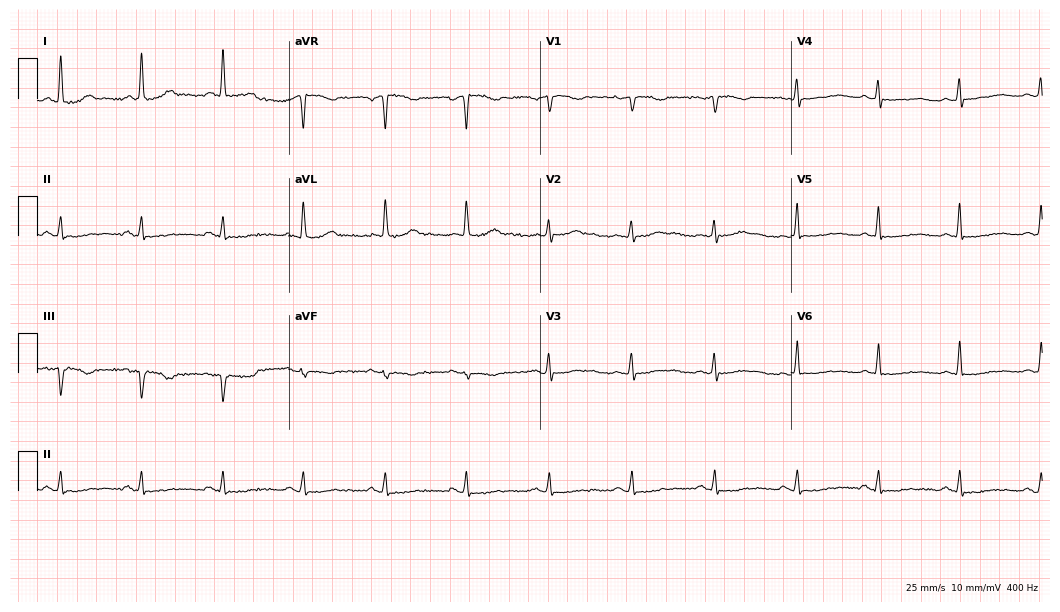
12-lead ECG from a 60-year-old female patient. Screened for six findings — first-degree AV block, right bundle branch block, left bundle branch block, sinus bradycardia, atrial fibrillation, sinus tachycardia — none is recorded.